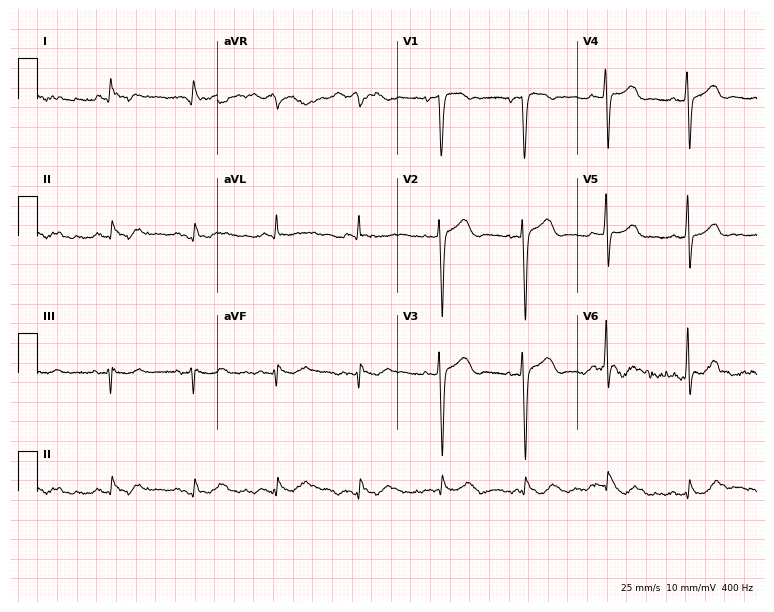
Resting 12-lead electrocardiogram. Patient: an 80-year-old female. Read as a normal ECG.